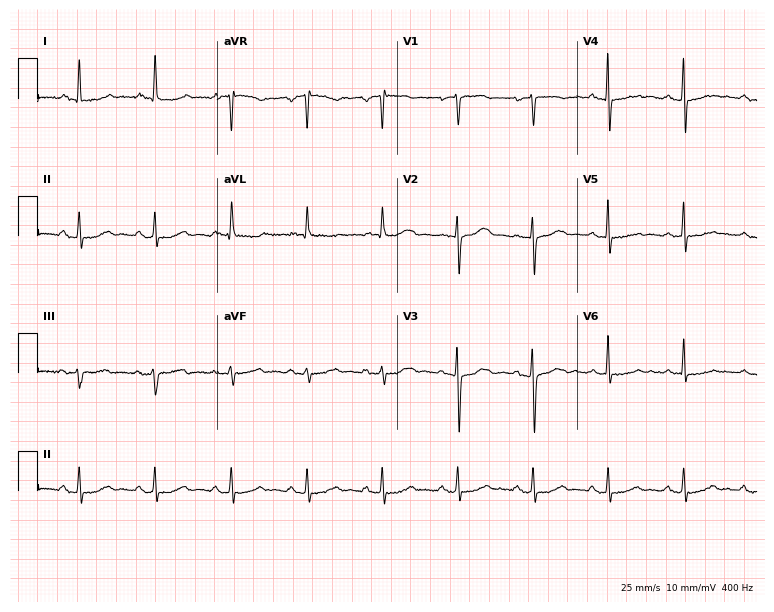
12-lead ECG from a woman, 63 years old. Screened for six findings — first-degree AV block, right bundle branch block (RBBB), left bundle branch block (LBBB), sinus bradycardia, atrial fibrillation (AF), sinus tachycardia — none is recorded. Findings outside these six are not listed.